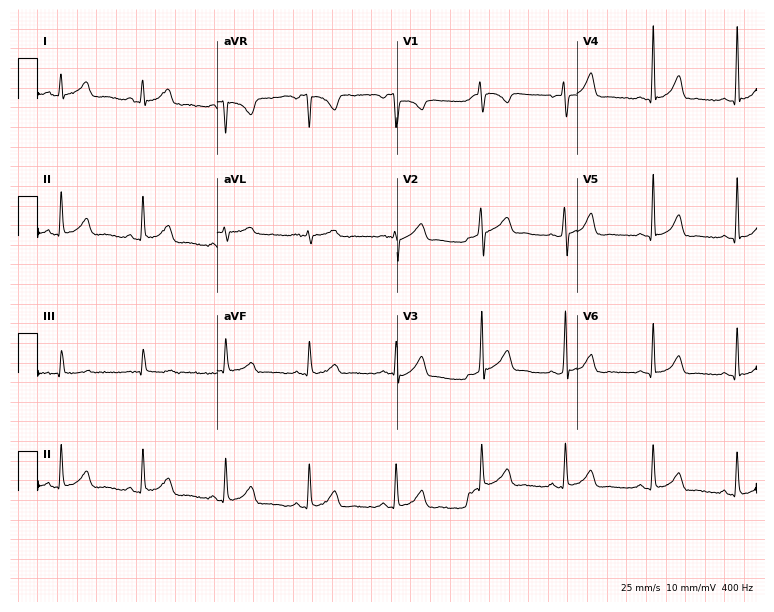
Electrocardiogram (7.3-second recording at 400 Hz), a 21-year-old woman. Of the six screened findings (first-degree AV block, right bundle branch block, left bundle branch block, sinus bradycardia, atrial fibrillation, sinus tachycardia), none is recorded. Other findings, if any, are not listed.